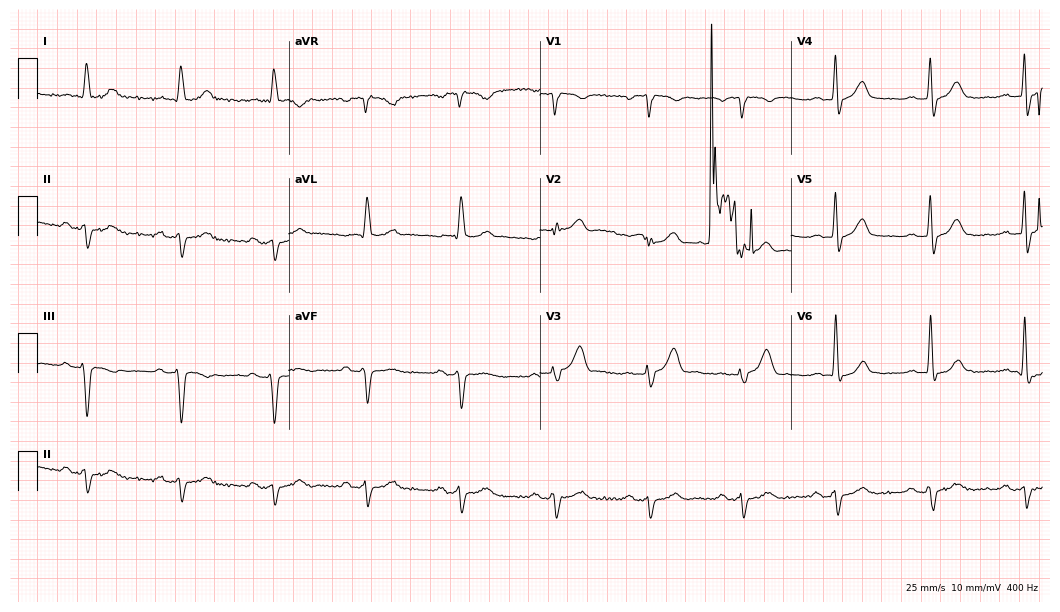
Electrocardiogram, a male patient, 78 years old. Of the six screened findings (first-degree AV block, right bundle branch block, left bundle branch block, sinus bradycardia, atrial fibrillation, sinus tachycardia), none is recorded. Findings outside these six are not listed.